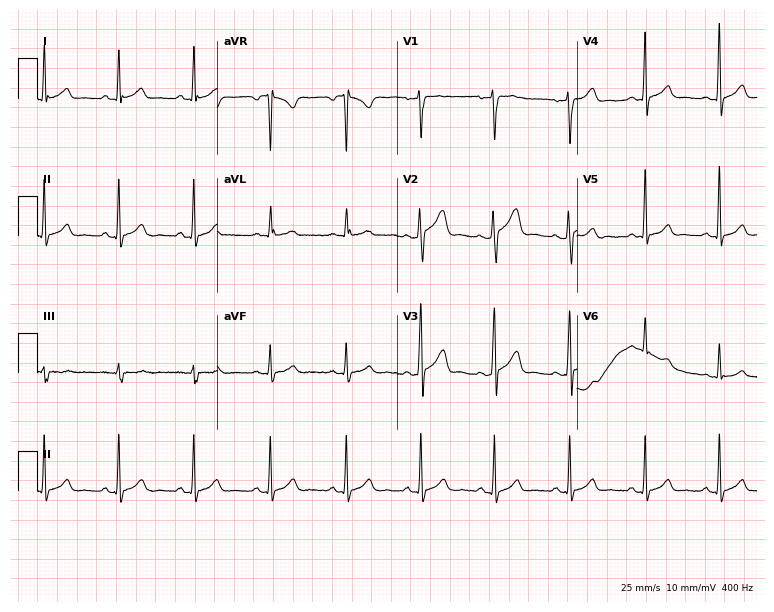
12-lead ECG from a 35-year-old male patient (7.3-second recording at 400 Hz). Recorded interpretation: within normal limits.